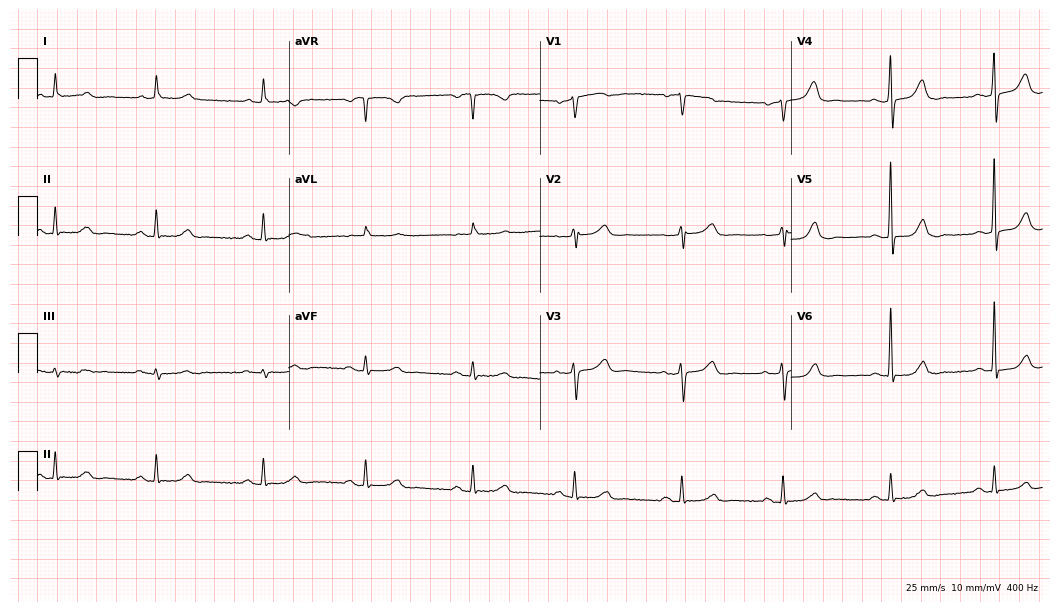
12-lead ECG from an 80-year-old female patient (10.2-second recording at 400 Hz). No first-degree AV block, right bundle branch block, left bundle branch block, sinus bradycardia, atrial fibrillation or sinus tachycardia recorded for this tracing. Other findings, if any, are not listed.